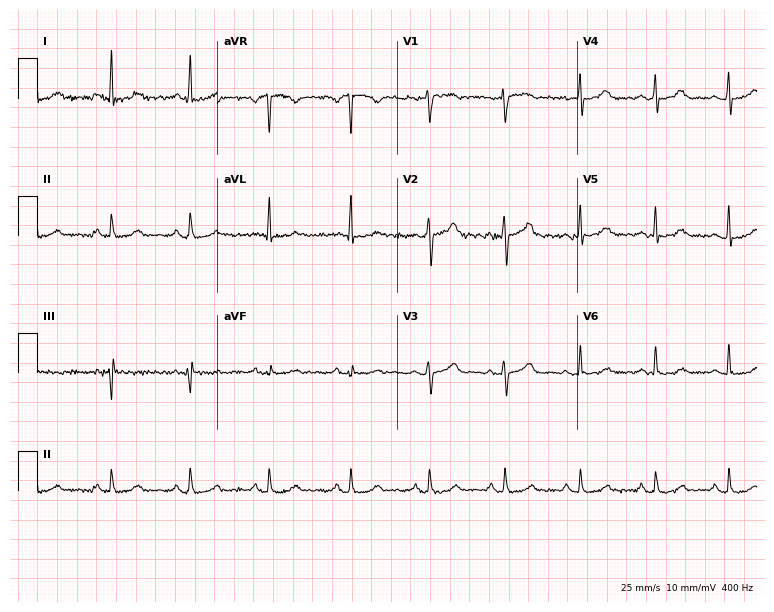
Electrocardiogram (7.3-second recording at 400 Hz), a 53-year-old woman. Overall reading on record: normal ECG.